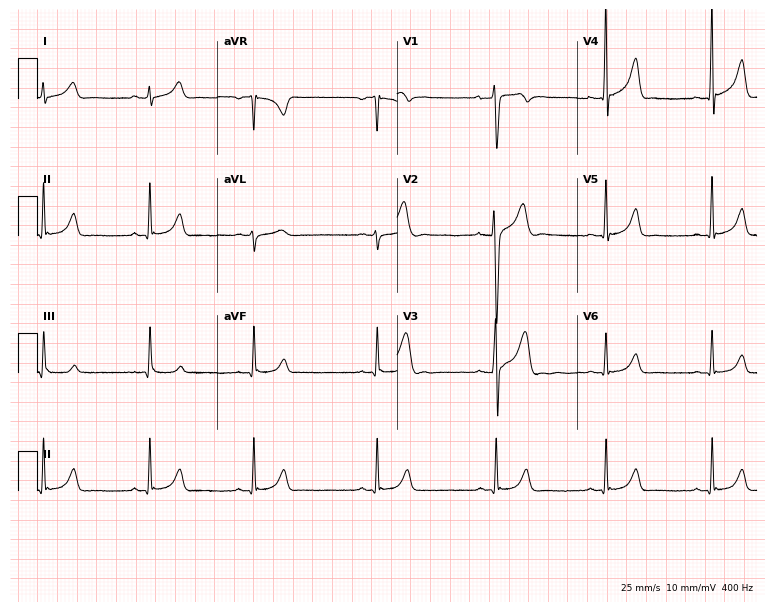
ECG — a 20-year-old man. Labelled as a normal ECG.